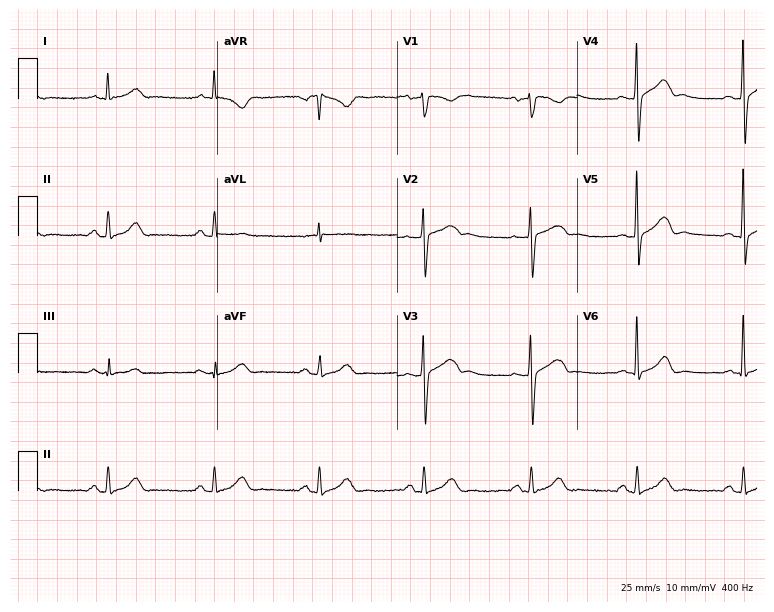
Resting 12-lead electrocardiogram (7.3-second recording at 400 Hz). Patient: a 46-year-old male. Read as a normal ECG.